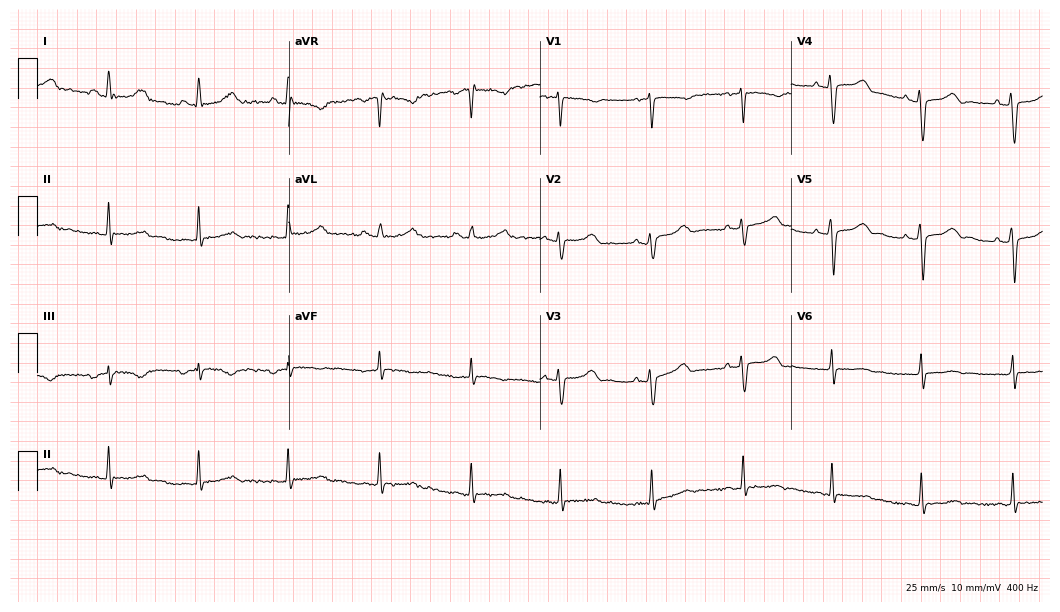
12-lead ECG (10.2-second recording at 400 Hz) from a 48-year-old female. Labelled as a normal ECG.